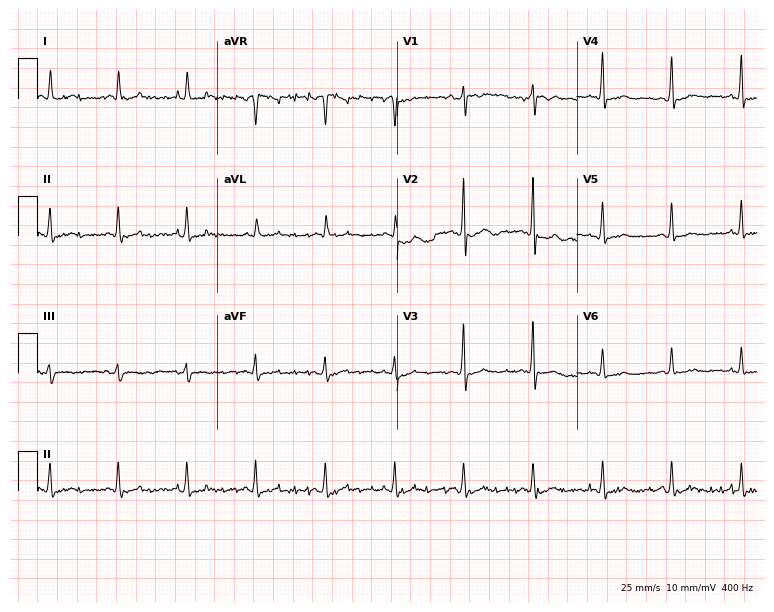
Electrocardiogram (7.3-second recording at 400 Hz), a male patient, 53 years old. Overall reading on record: normal ECG.